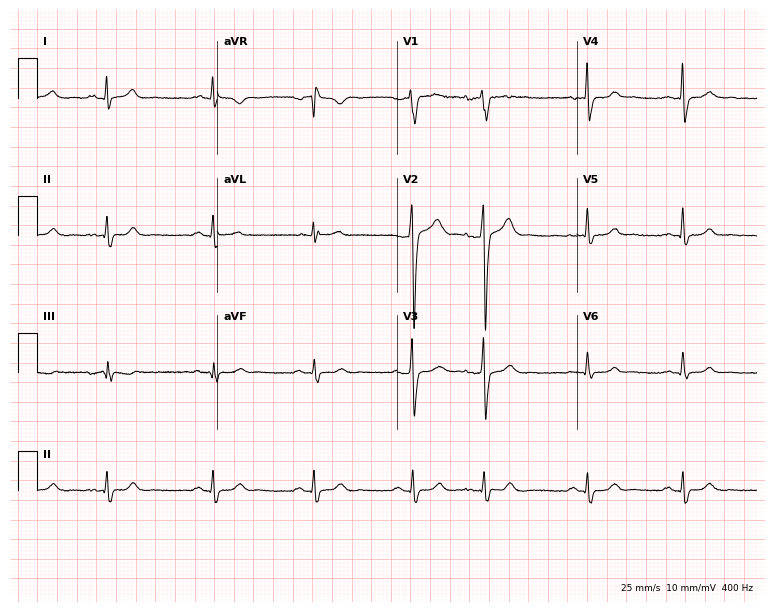
Resting 12-lead electrocardiogram. Patient: a male, 30 years old. None of these six findings is recorded: first-degree AV block, right bundle branch block, left bundle branch block, sinus bradycardia, atrial fibrillation, sinus tachycardia. Only these six findings were labelled.